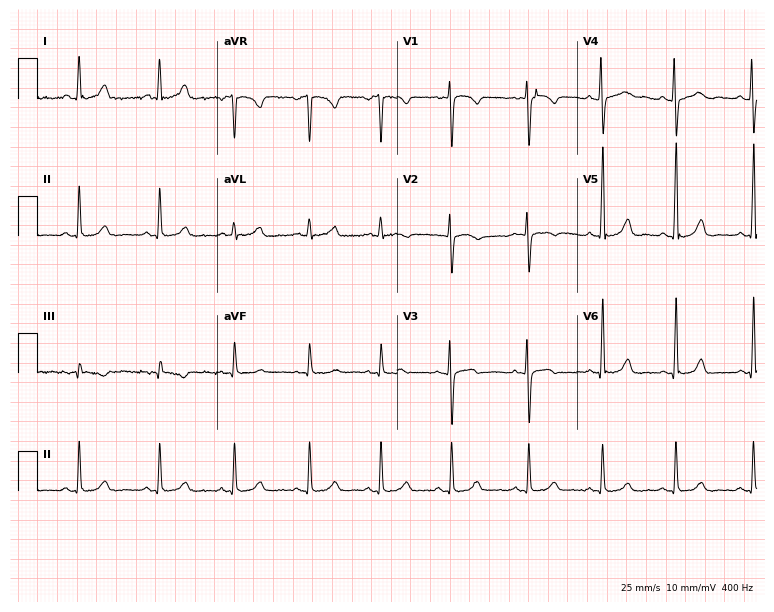
Standard 12-lead ECG recorded from a 32-year-old woman (7.3-second recording at 400 Hz). None of these six findings is recorded: first-degree AV block, right bundle branch block, left bundle branch block, sinus bradycardia, atrial fibrillation, sinus tachycardia. Other findings, if any, are not listed.